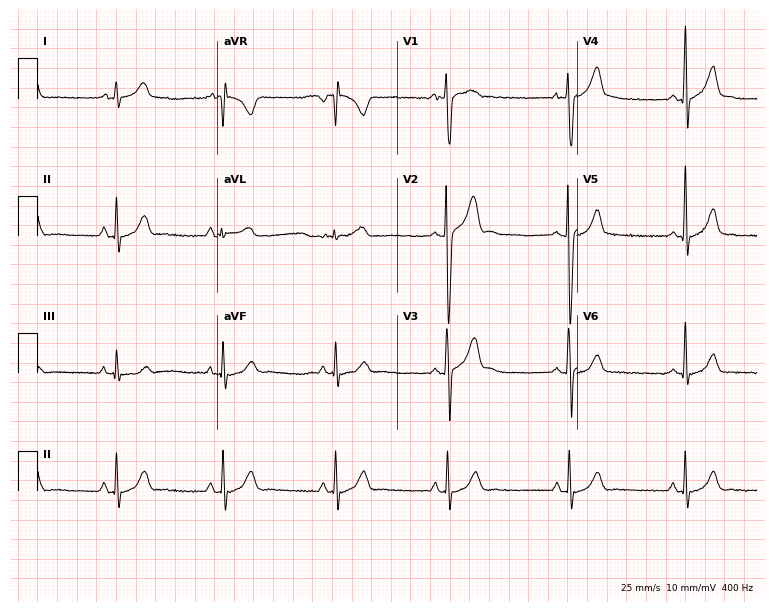
Standard 12-lead ECG recorded from a male, 19 years old. Read as a normal ECG.